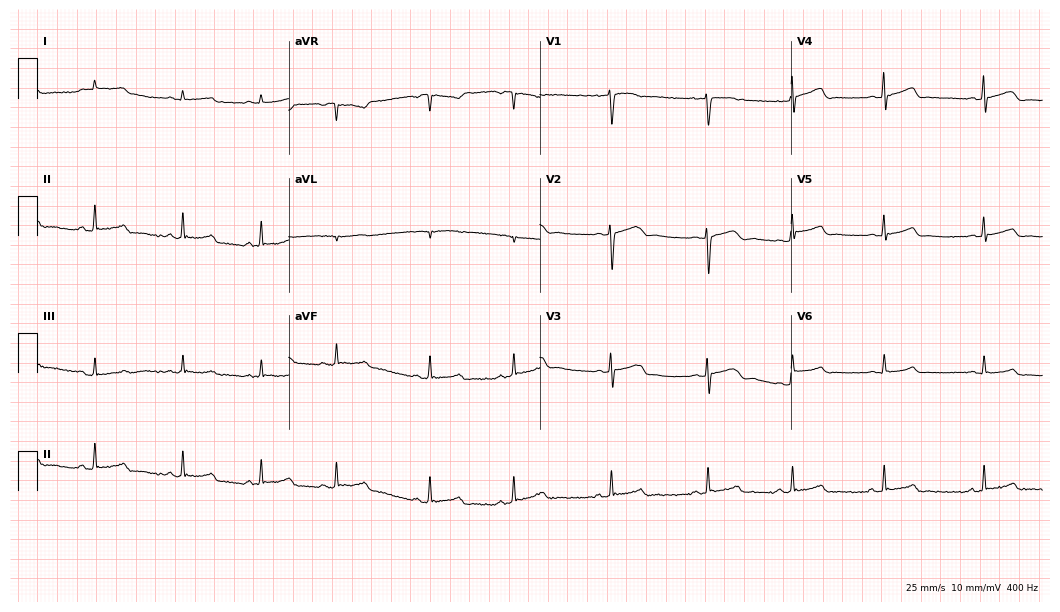
Electrocardiogram, a female patient, 19 years old. Overall reading on record: normal ECG.